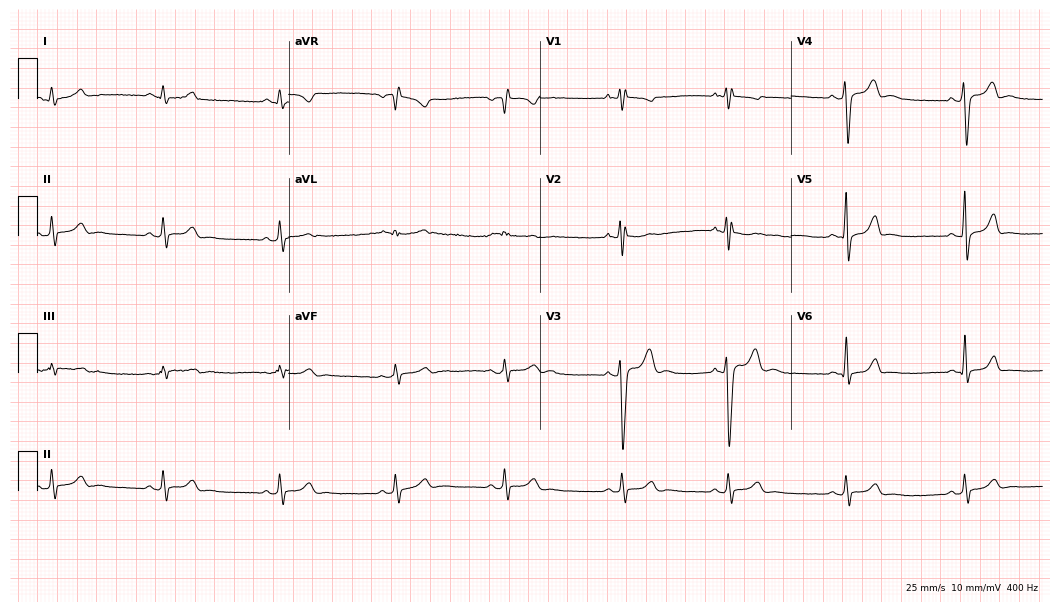
ECG (10.2-second recording at 400 Hz) — a 17-year-old male. Screened for six findings — first-degree AV block, right bundle branch block, left bundle branch block, sinus bradycardia, atrial fibrillation, sinus tachycardia — none is recorded. Only these six findings were labelled.